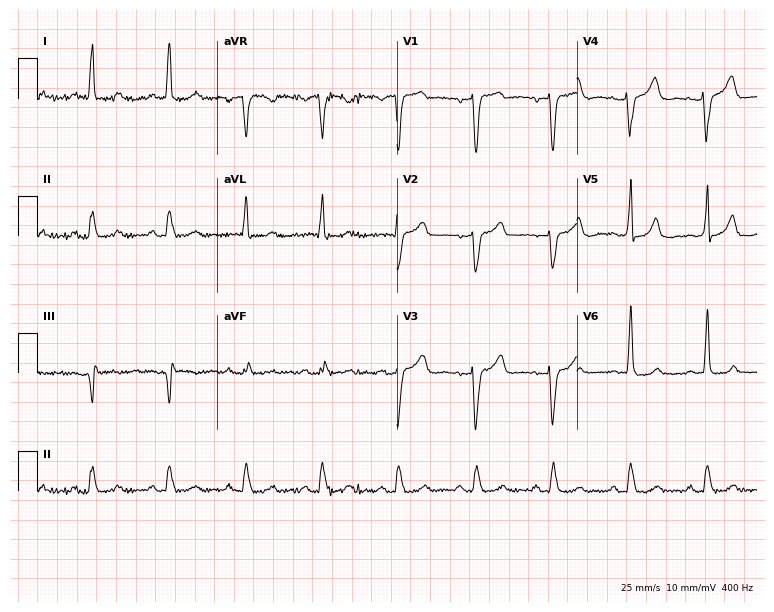
12-lead ECG (7.3-second recording at 400 Hz) from a 76-year-old woman. Screened for six findings — first-degree AV block, right bundle branch block (RBBB), left bundle branch block (LBBB), sinus bradycardia, atrial fibrillation (AF), sinus tachycardia — none is recorded.